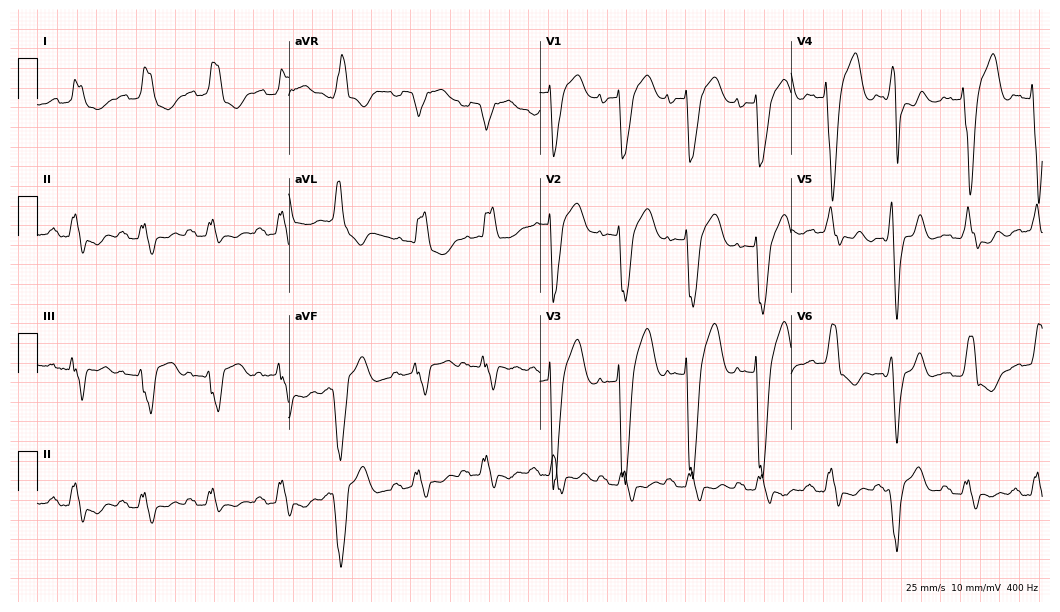
Electrocardiogram, a 74-year-old man. Interpretation includes first-degree AV block, left bundle branch block.